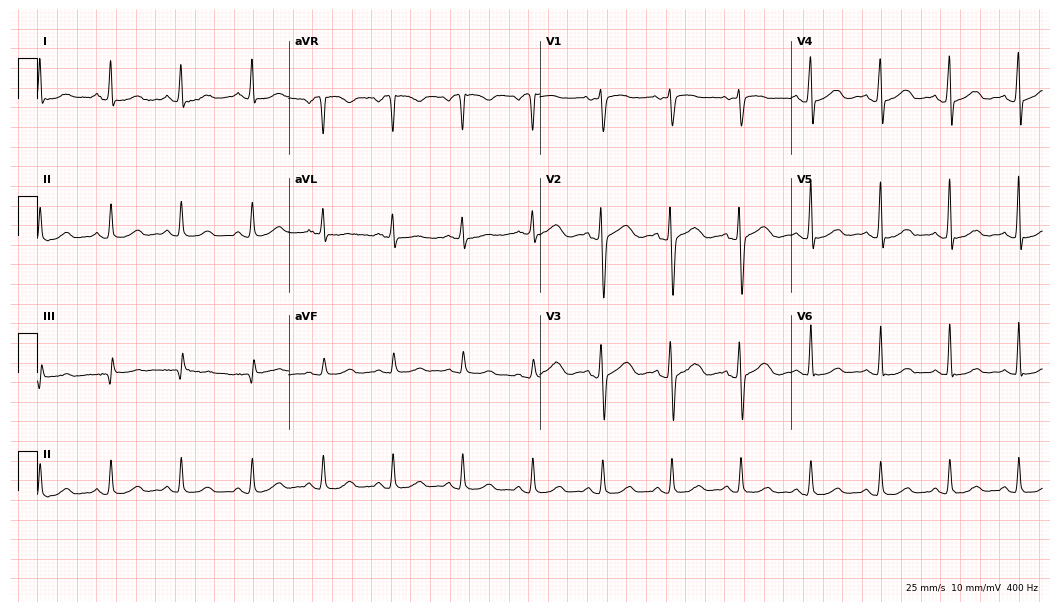
Standard 12-lead ECG recorded from a 36-year-old female. Read as a normal ECG.